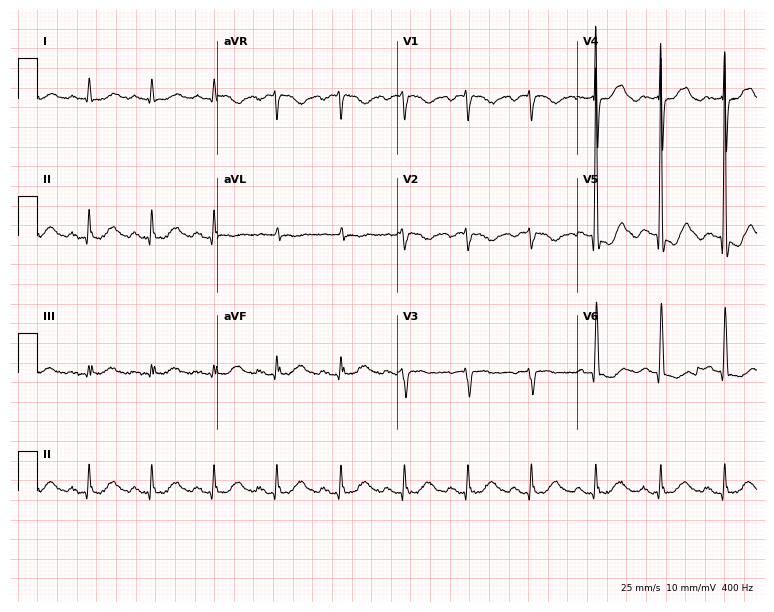
Electrocardiogram, a female, 81 years old. Of the six screened findings (first-degree AV block, right bundle branch block (RBBB), left bundle branch block (LBBB), sinus bradycardia, atrial fibrillation (AF), sinus tachycardia), none is recorded.